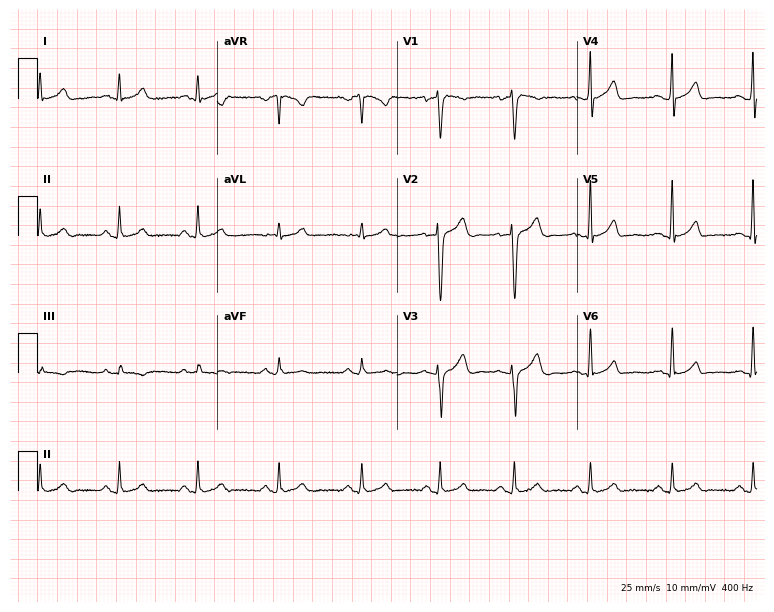
12-lead ECG from a 41-year-old male patient. Labelled as a normal ECG.